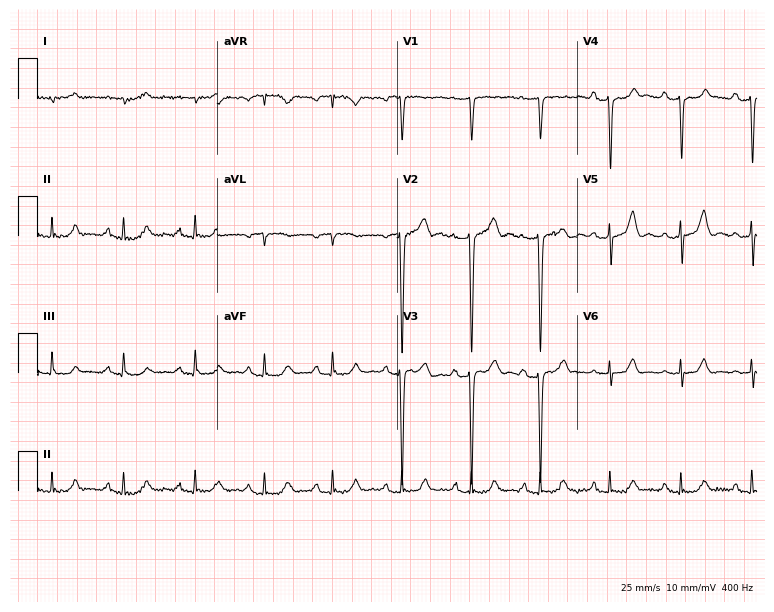
Resting 12-lead electrocardiogram. Patient: a 77-year-old male. None of these six findings is recorded: first-degree AV block, right bundle branch block, left bundle branch block, sinus bradycardia, atrial fibrillation, sinus tachycardia.